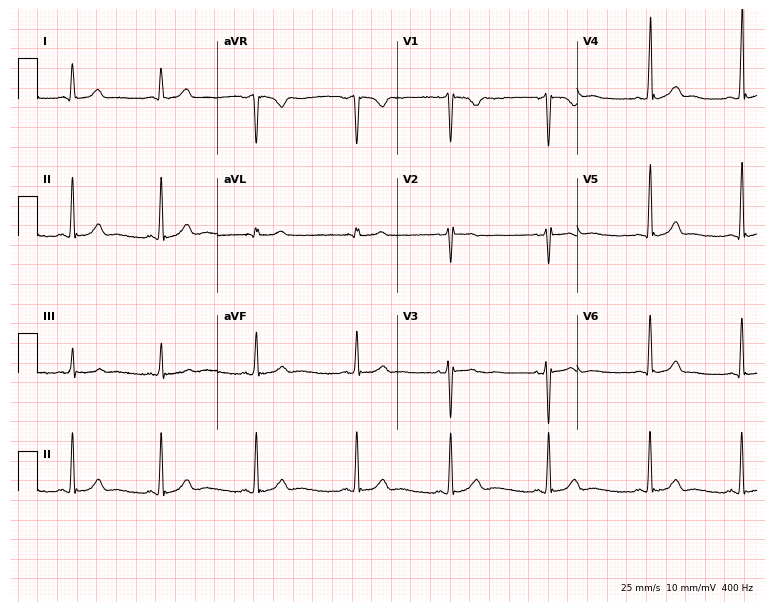
ECG — a 22-year-old female. Labelled as a normal ECG.